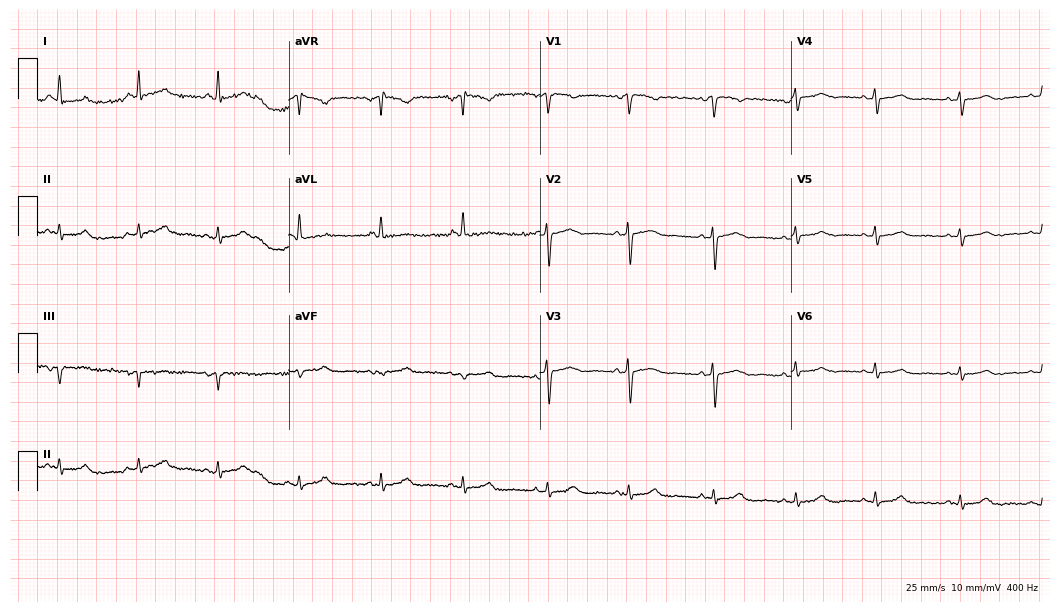
Electrocardiogram (10.2-second recording at 400 Hz), a female patient, 40 years old. Overall reading on record: normal ECG.